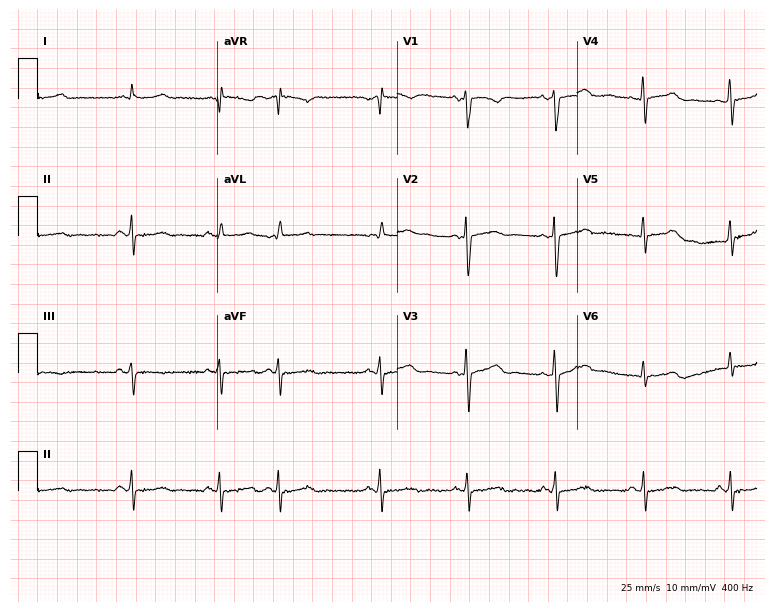
ECG — a 50-year-old male. Screened for six findings — first-degree AV block, right bundle branch block, left bundle branch block, sinus bradycardia, atrial fibrillation, sinus tachycardia — none is recorded.